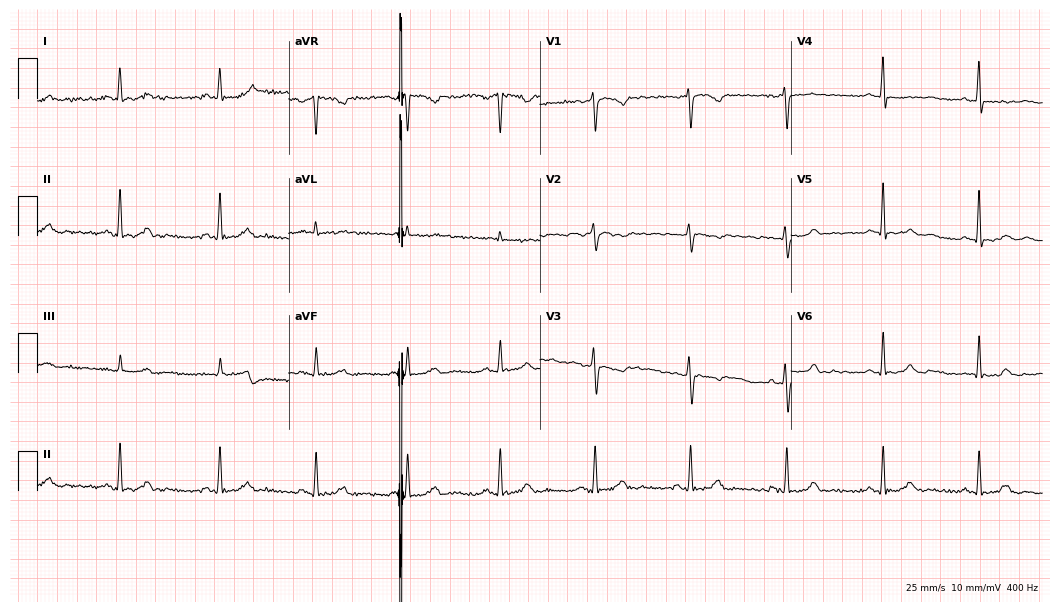
Resting 12-lead electrocardiogram (10.2-second recording at 400 Hz). Patient: a 57-year-old woman. None of these six findings is recorded: first-degree AV block, right bundle branch block (RBBB), left bundle branch block (LBBB), sinus bradycardia, atrial fibrillation (AF), sinus tachycardia.